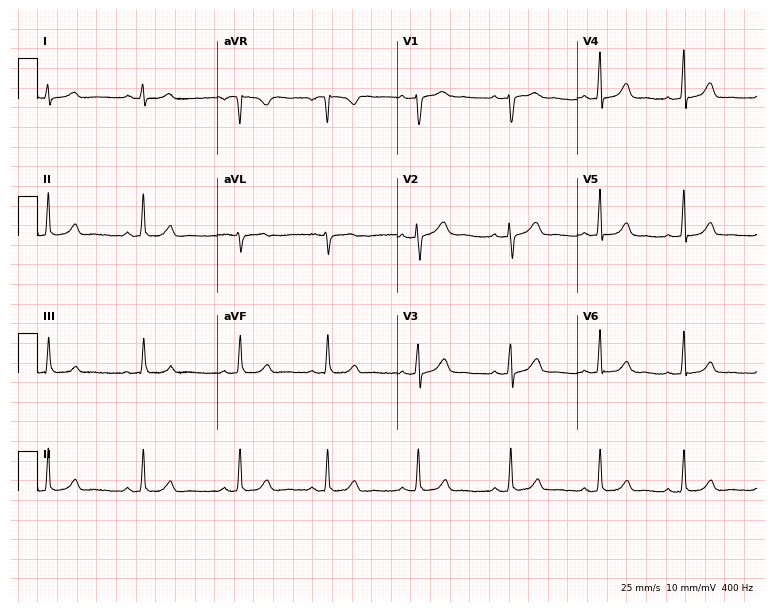
Electrocardiogram (7.3-second recording at 400 Hz), a female, 29 years old. Overall reading on record: normal ECG.